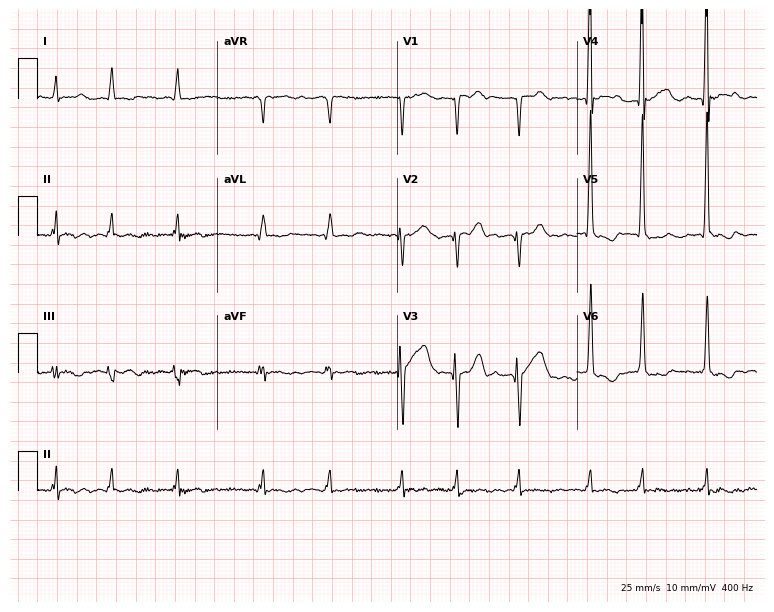
Standard 12-lead ECG recorded from a 69-year-old man. The tracing shows atrial fibrillation (AF).